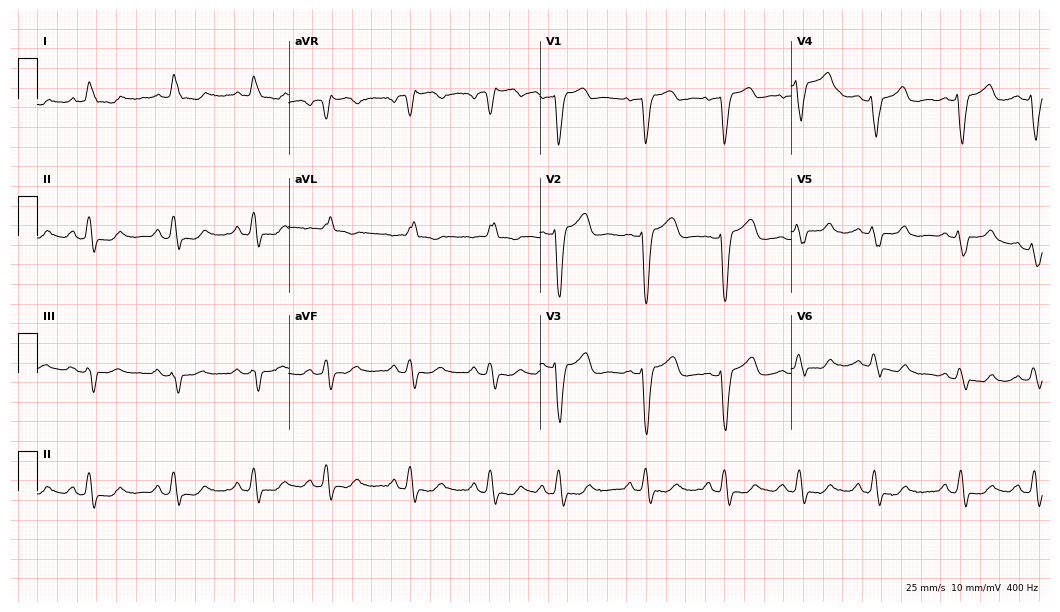
ECG — an 81-year-old female patient. Findings include left bundle branch block.